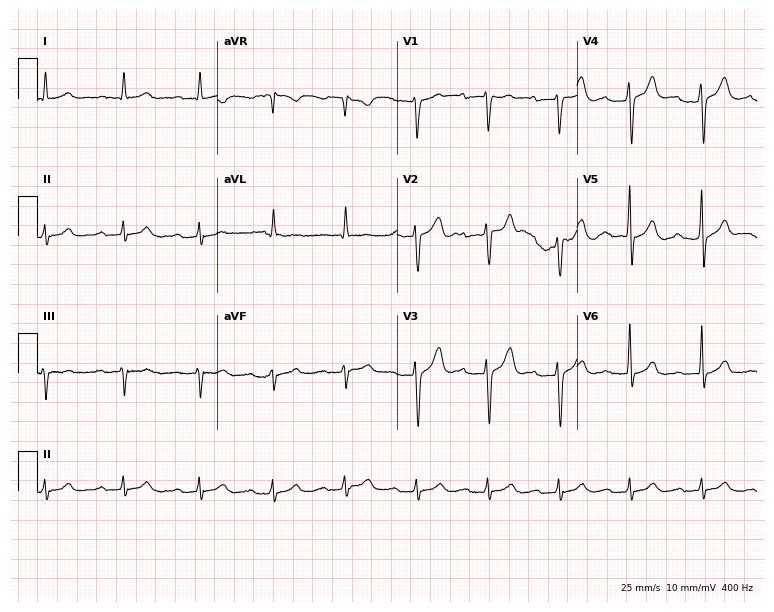
Standard 12-lead ECG recorded from a male, 76 years old. The tracing shows first-degree AV block.